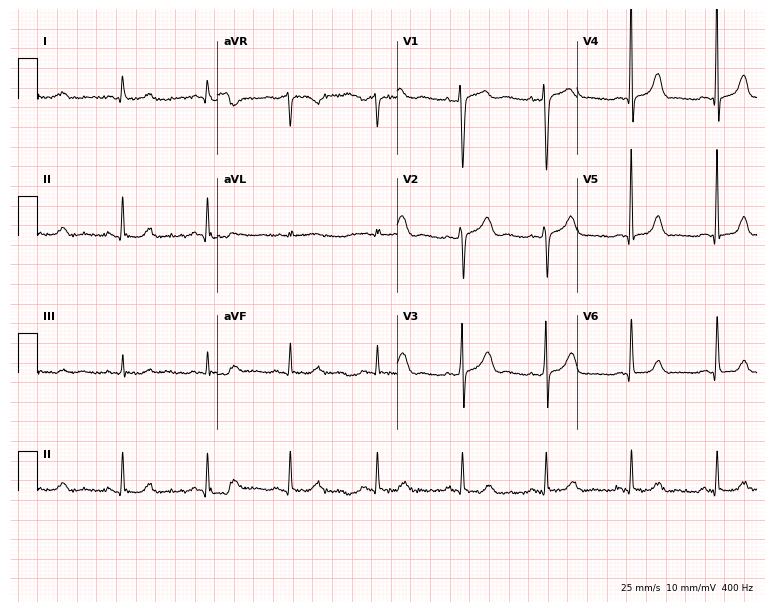
Standard 12-lead ECG recorded from a woman, 32 years old. None of these six findings is recorded: first-degree AV block, right bundle branch block (RBBB), left bundle branch block (LBBB), sinus bradycardia, atrial fibrillation (AF), sinus tachycardia. Findings outside these six are not listed.